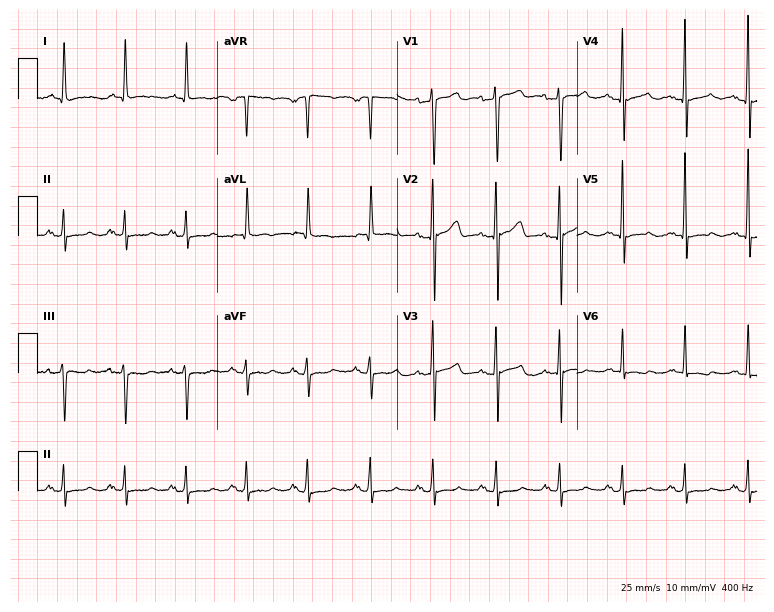
ECG — a female patient, 80 years old. Labelled as a normal ECG.